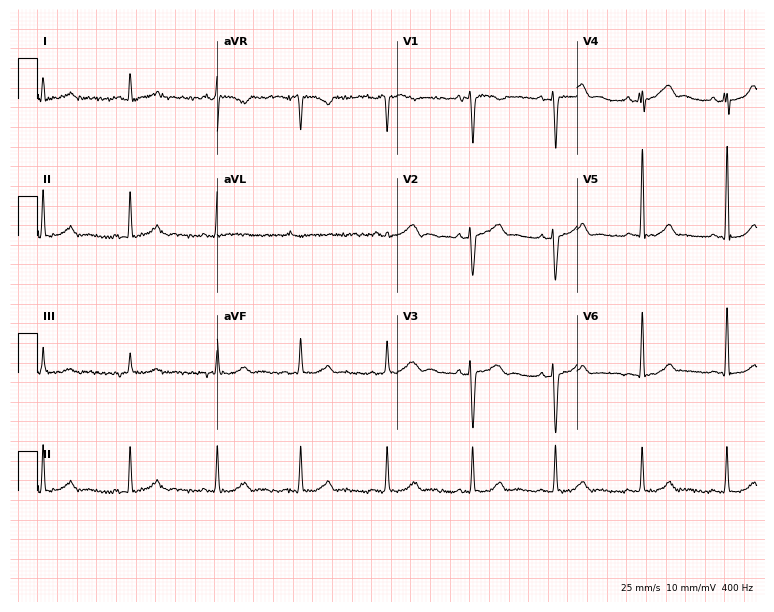
12-lead ECG from a 49-year-old female patient. No first-degree AV block, right bundle branch block (RBBB), left bundle branch block (LBBB), sinus bradycardia, atrial fibrillation (AF) or sinus tachycardia recorded for this tracing. Findings outside these six are not listed.